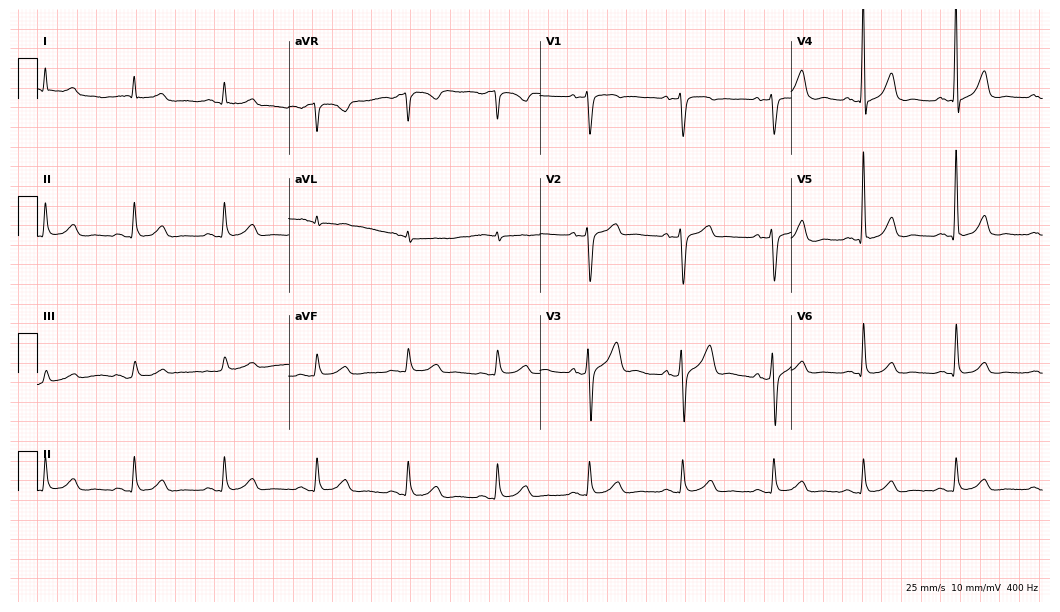
Electrocardiogram (10.2-second recording at 400 Hz), a male patient, 65 years old. Overall reading on record: normal ECG.